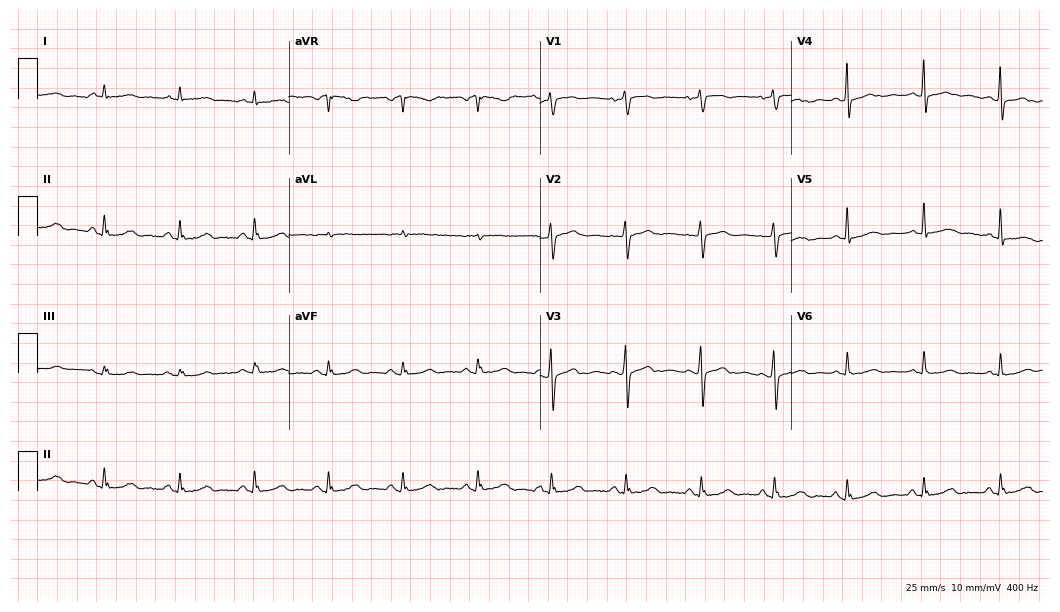
Electrocardiogram (10.2-second recording at 400 Hz), a 75-year-old female patient. Of the six screened findings (first-degree AV block, right bundle branch block, left bundle branch block, sinus bradycardia, atrial fibrillation, sinus tachycardia), none is recorded.